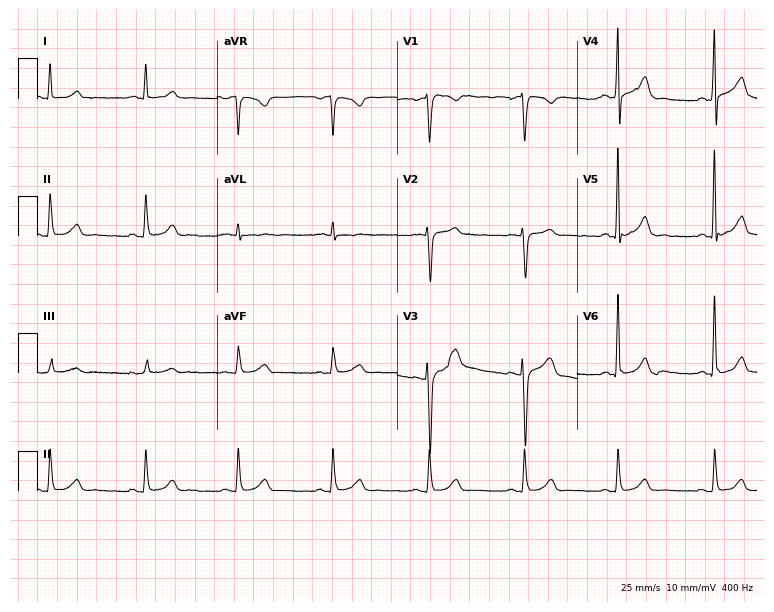
Standard 12-lead ECG recorded from a 38-year-old male patient (7.3-second recording at 400 Hz). Read as a normal ECG.